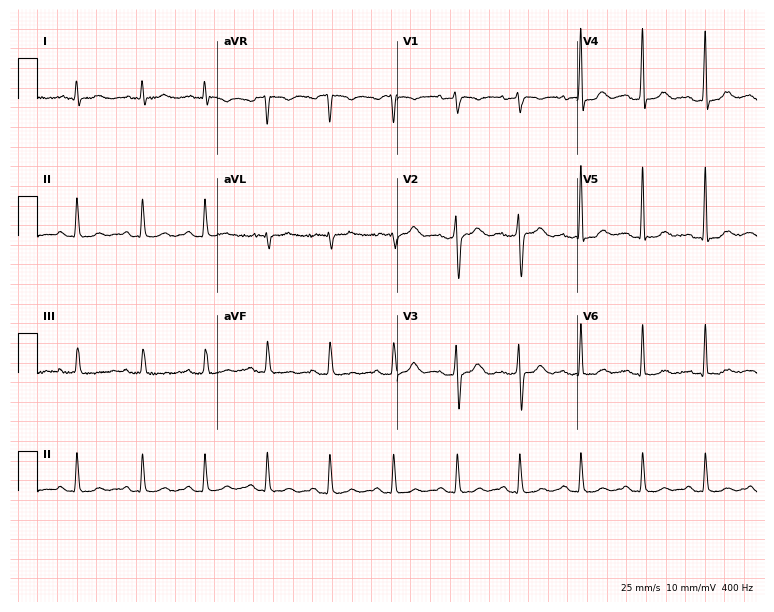
Electrocardiogram, a male patient, 27 years old. Overall reading on record: normal ECG.